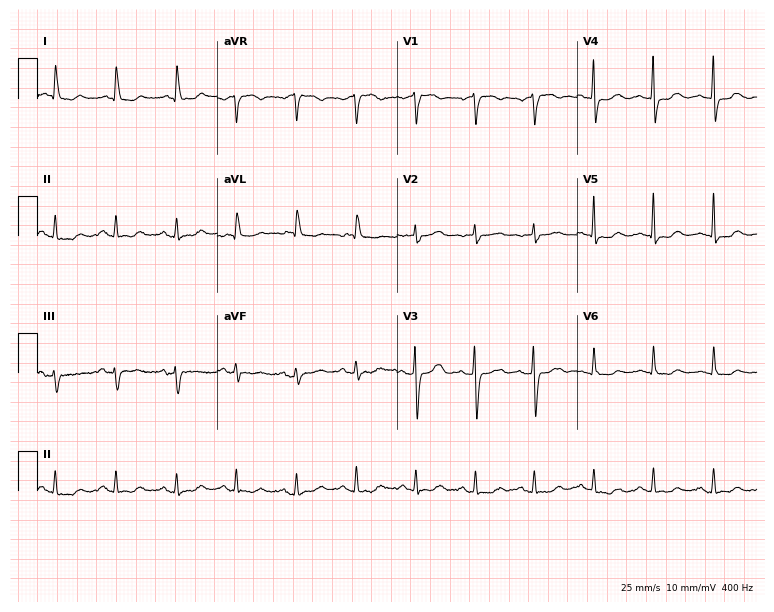
ECG — a woman, 79 years old. Screened for six findings — first-degree AV block, right bundle branch block, left bundle branch block, sinus bradycardia, atrial fibrillation, sinus tachycardia — none is recorded.